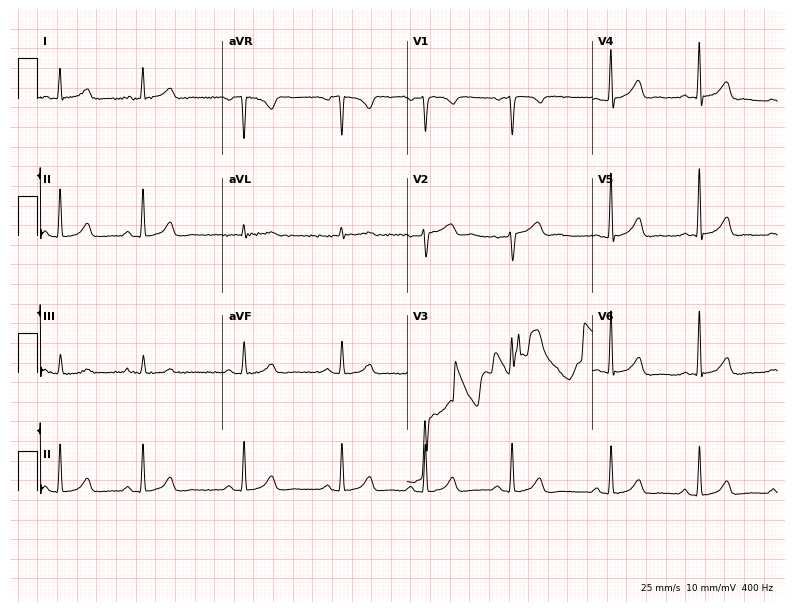
ECG — a 34-year-old female patient. Labelled as a normal ECG.